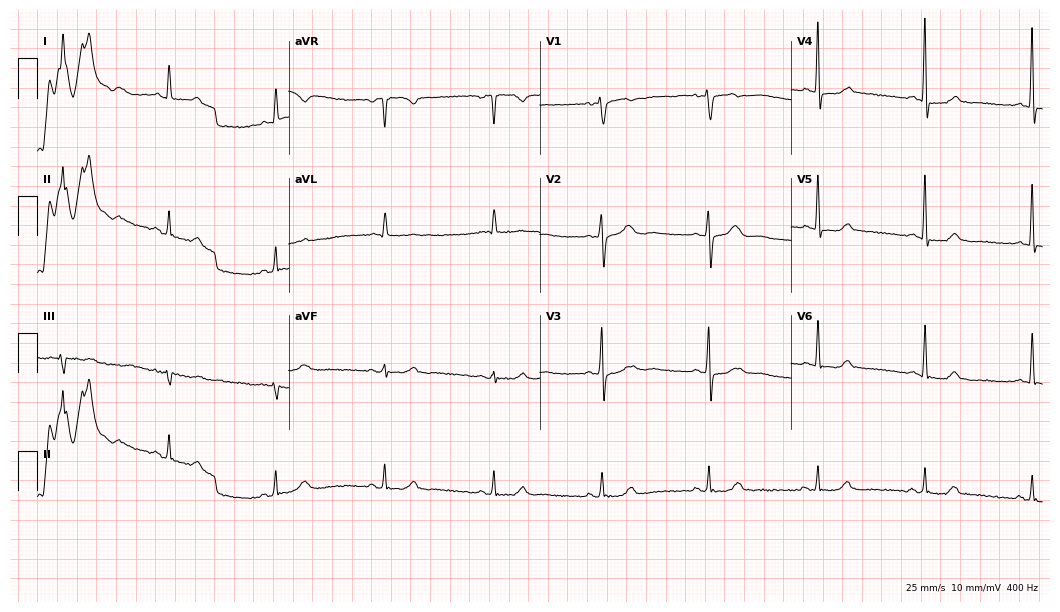
Resting 12-lead electrocardiogram. Patient: a 66-year-old woman. None of these six findings is recorded: first-degree AV block, right bundle branch block, left bundle branch block, sinus bradycardia, atrial fibrillation, sinus tachycardia. Findings outside these six are not listed.